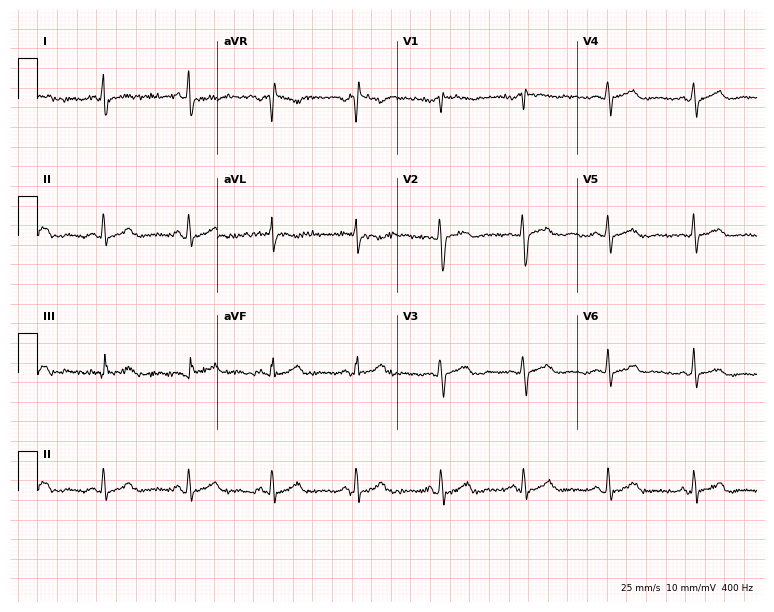
ECG (7.3-second recording at 400 Hz) — a 51-year-old female. Labelled as a normal ECG.